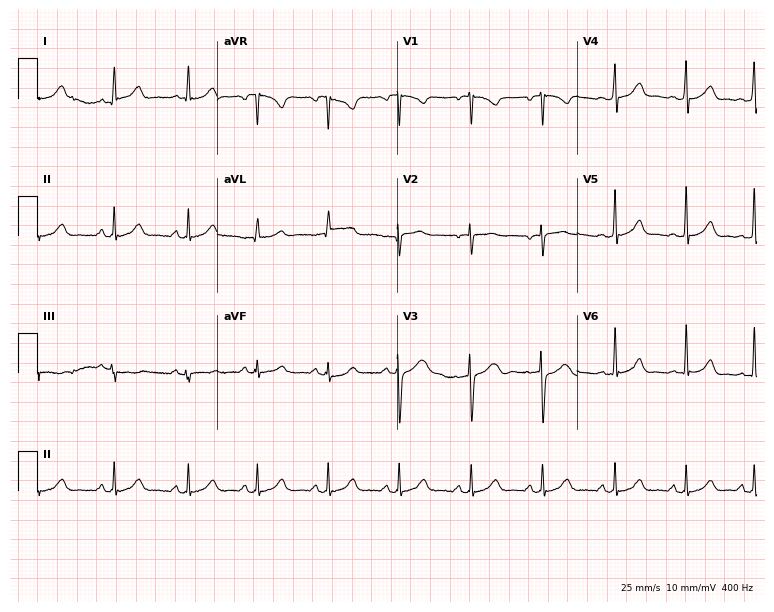
Resting 12-lead electrocardiogram (7.3-second recording at 400 Hz). Patient: a female, 30 years old. Read as a normal ECG.